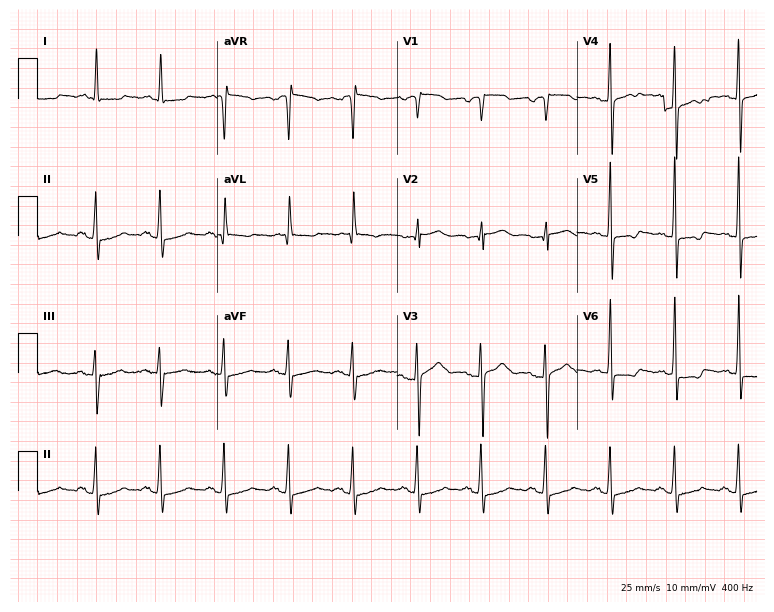
12-lead ECG from a 66-year-old female patient. Recorded interpretation: within normal limits.